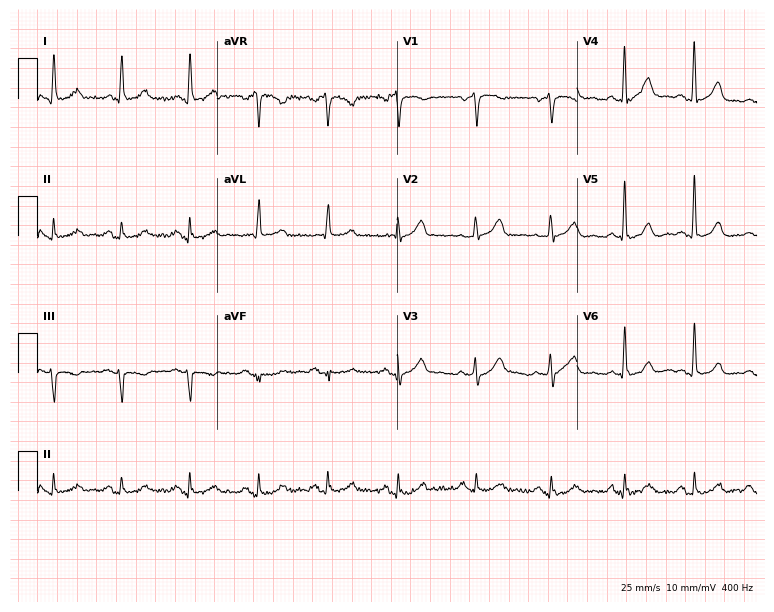
12-lead ECG from a 58-year-old female patient. Labelled as a normal ECG.